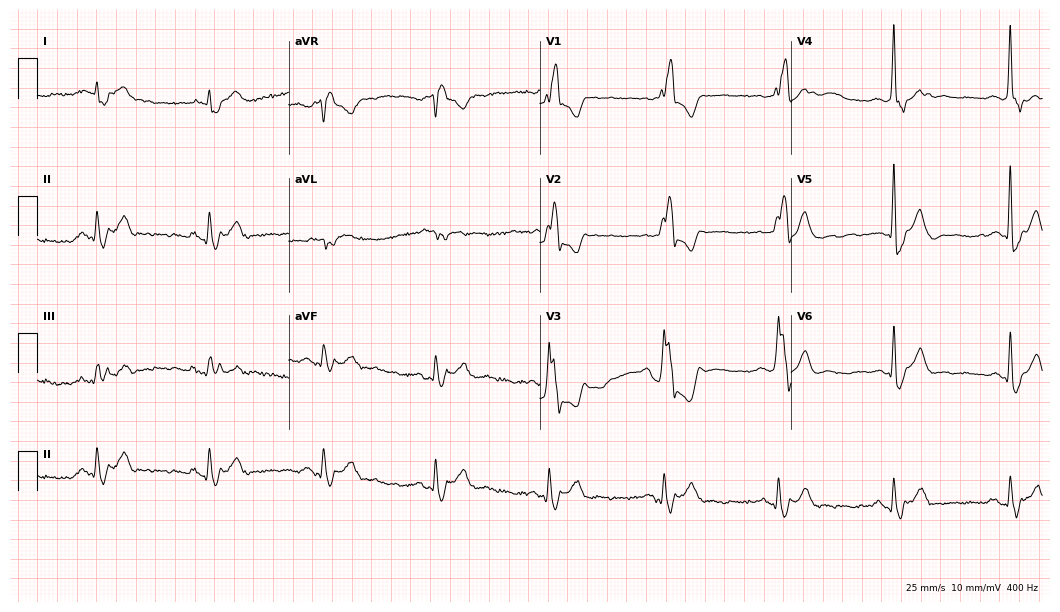
Resting 12-lead electrocardiogram. Patient: an 85-year-old male. None of these six findings is recorded: first-degree AV block, right bundle branch block (RBBB), left bundle branch block (LBBB), sinus bradycardia, atrial fibrillation (AF), sinus tachycardia. Findings outside these six are not listed.